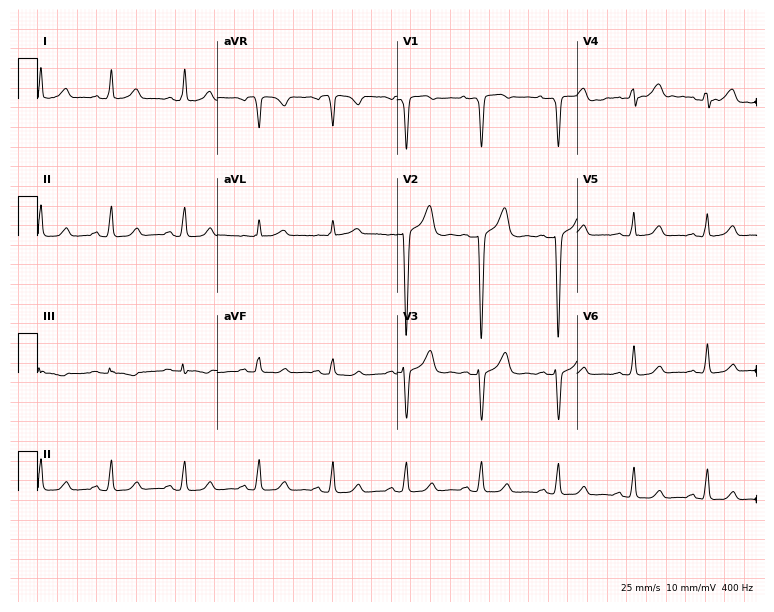
Electrocardiogram (7.3-second recording at 400 Hz), a 32-year-old female. Of the six screened findings (first-degree AV block, right bundle branch block, left bundle branch block, sinus bradycardia, atrial fibrillation, sinus tachycardia), none is recorded.